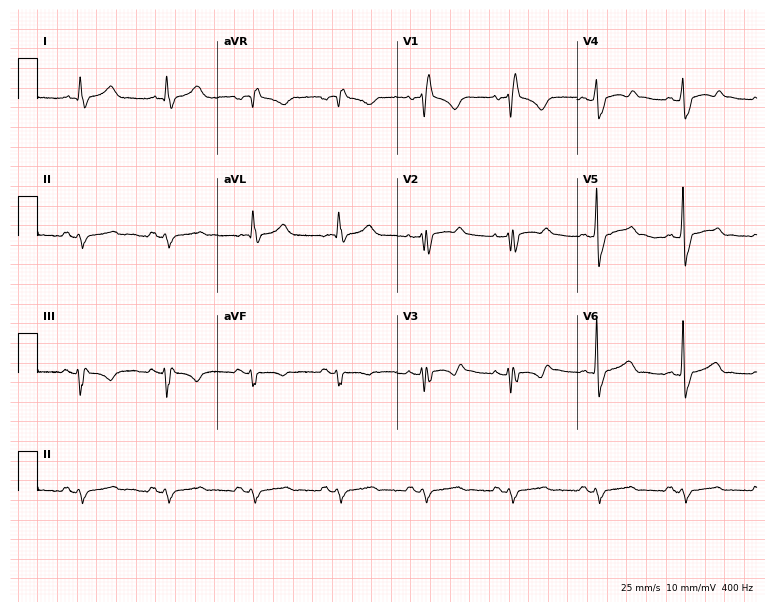
ECG — a male, 52 years old. Findings include right bundle branch block (RBBB).